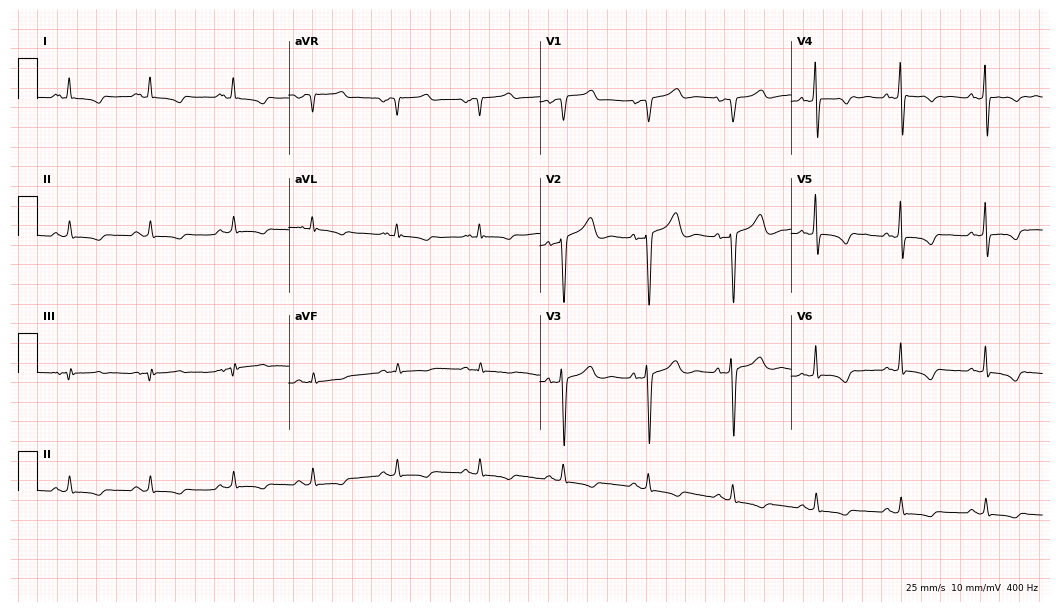
Electrocardiogram, a male, 59 years old. Of the six screened findings (first-degree AV block, right bundle branch block, left bundle branch block, sinus bradycardia, atrial fibrillation, sinus tachycardia), none is recorded.